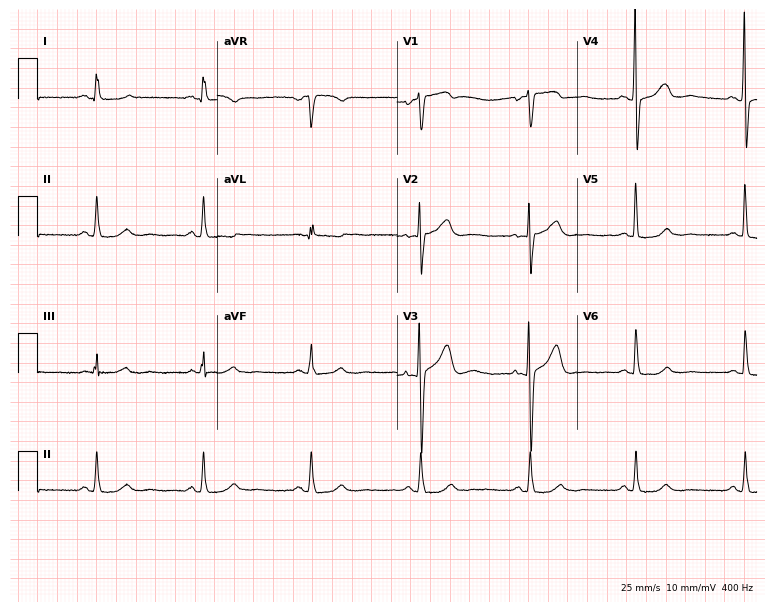
Electrocardiogram (7.3-second recording at 400 Hz), a female patient, 55 years old. Overall reading on record: normal ECG.